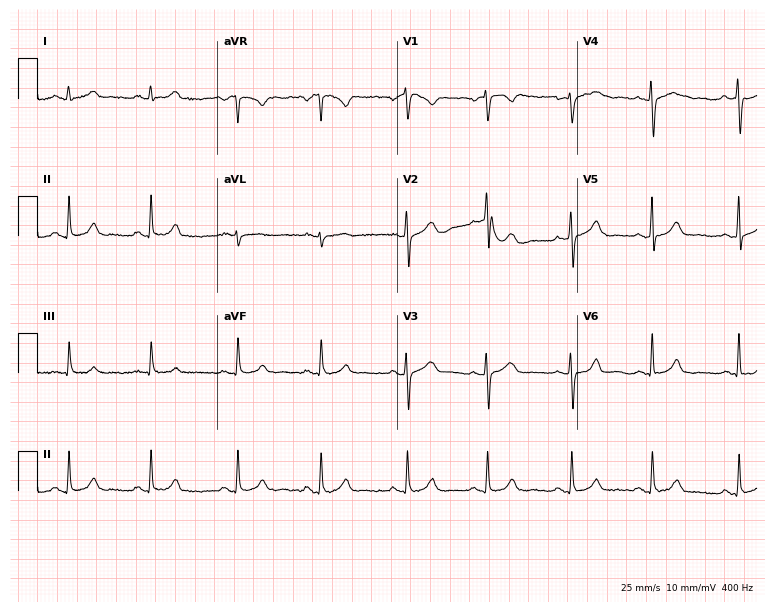
Standard 12-lead ECG recorded from a 23-year-old female (7.3-second recording at 400 Hz). Read as a normal ECG.